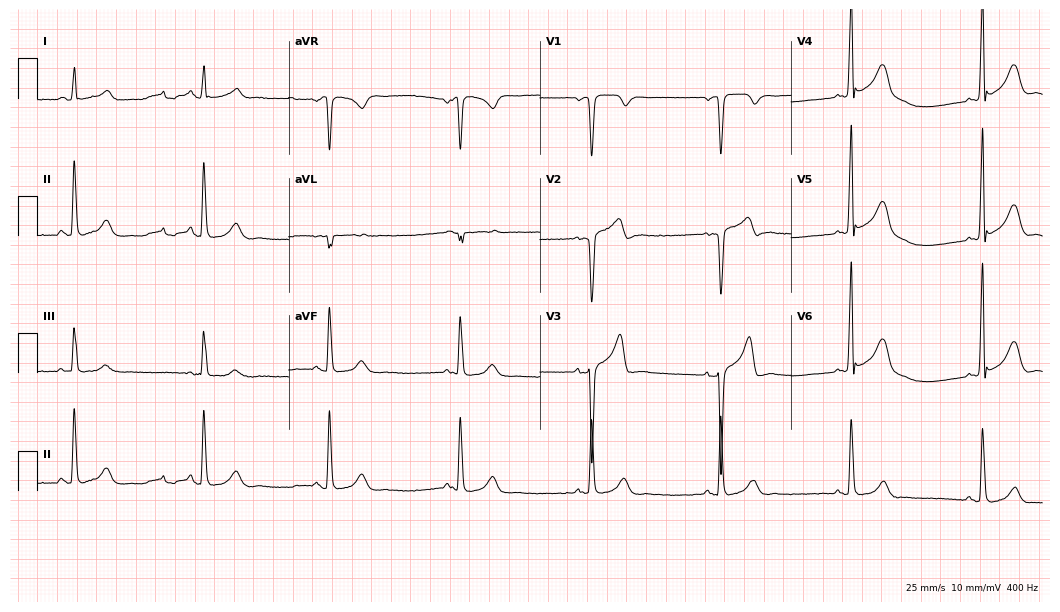
12-lead ECG (10.2-second recording at 400 Hz) from a man, 59 years old. Screened for six findings — first-degree AV block, right bundle branch block, left bundle branch block, sinus bradycardia, atrial fibrillation, sinus tachycardia — none is recorded. Findings outside these six are not listed.